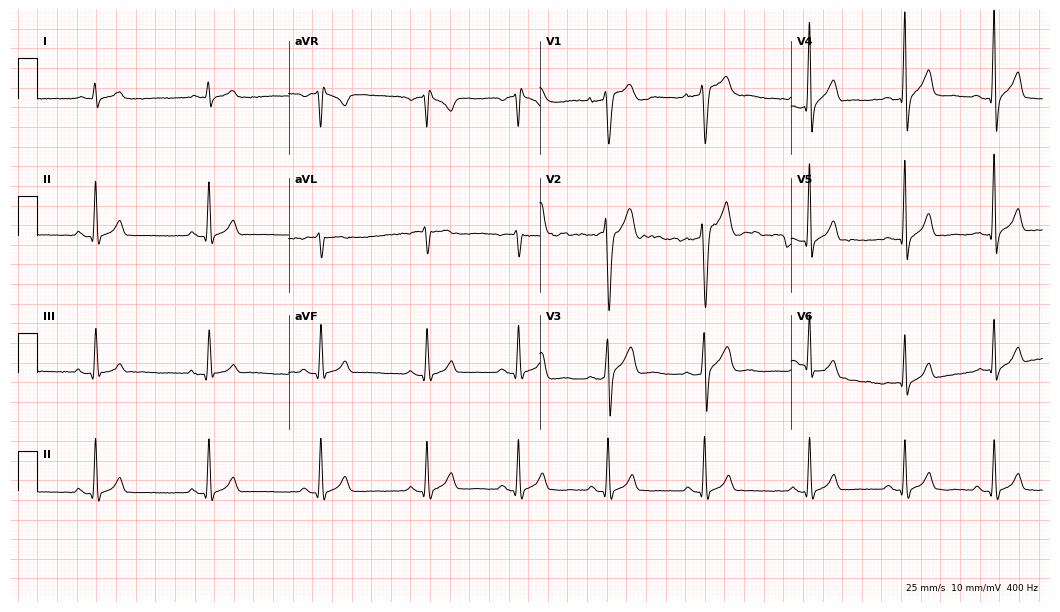
Resting 12-lead electrocardiogram. Patient: a 19-year-old male. None of these six findings is recorded: first-degree AV block, right bundle branch block, left bundle branch block, sinus bradycardia, atrial fibrillation, sinus tachycardia.